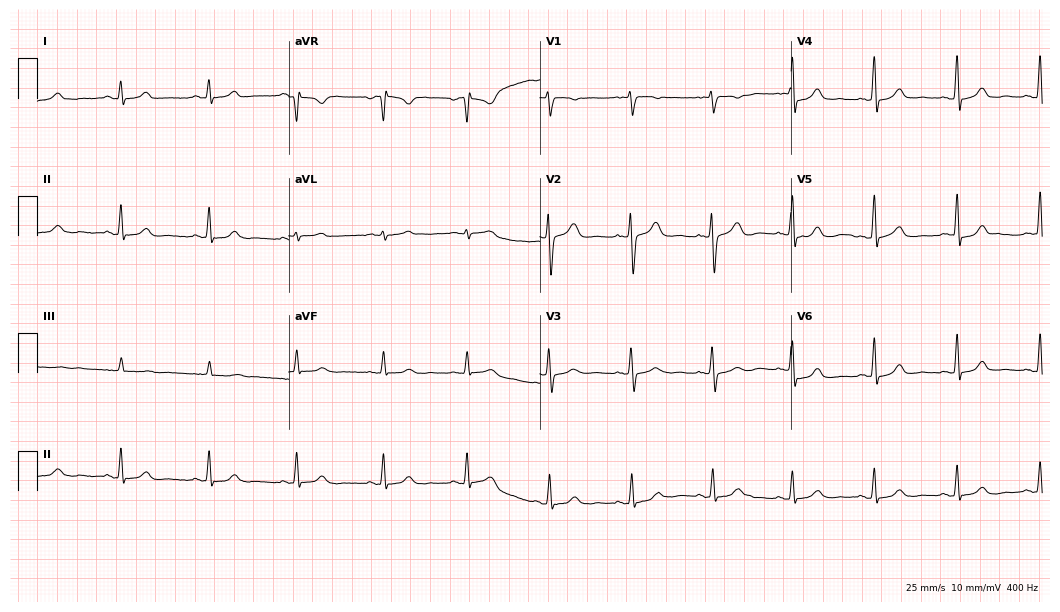
Resting 12-lead electrocardiogram. Patient: a female, 38 years old. Read as a normal ECG.